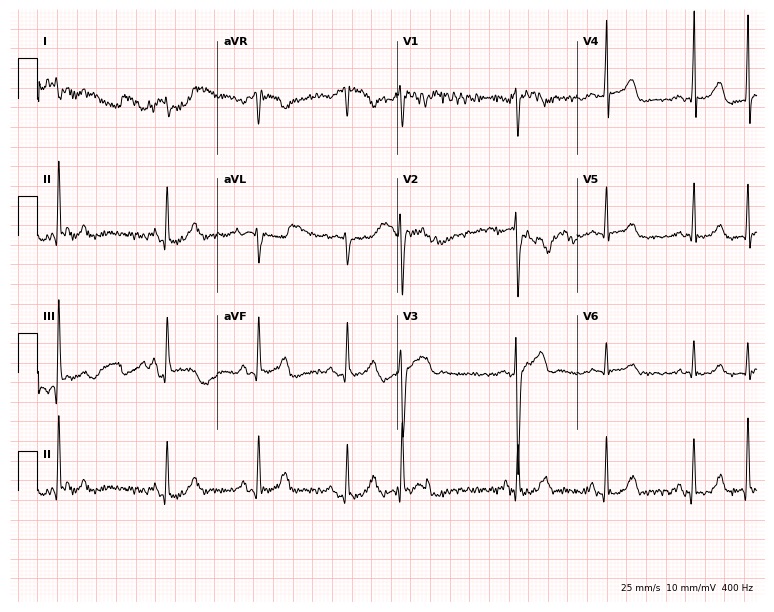
Standard 12-lead ECG recorded from a male, 33 years old (7.3-second recording at 400 Hz). None of these six findings is recorded: first-degree AV block, right bundle branch block, left bundle branch block, sinus bradycardia, atrial fibrillation, sinus tachycardia. Other findings, if any, are not listed.